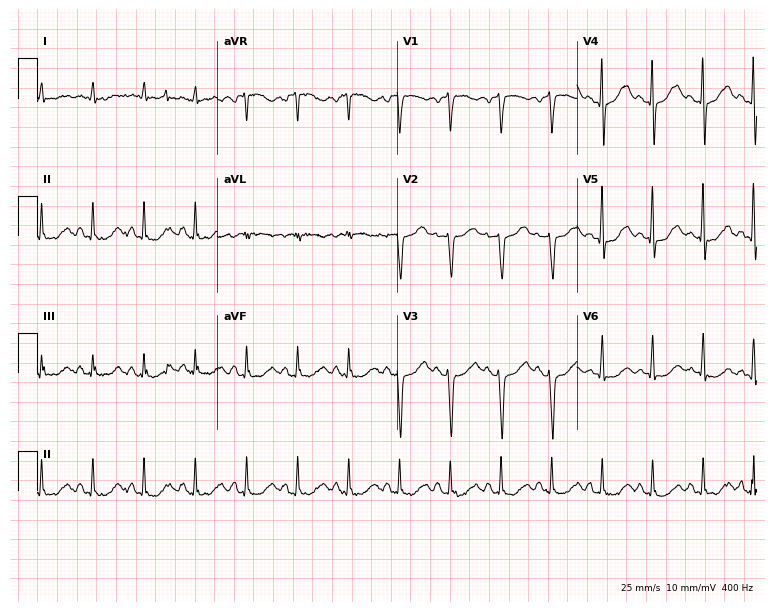
12-lead ECG from a 44-year-old man. No first-degree AV block, right bundle branch block (RBBB), left bundle branch block (LBBB), sinus bradycardia, atrial fibrillation (AF) or sinus tachycardia recorded for this tracing.